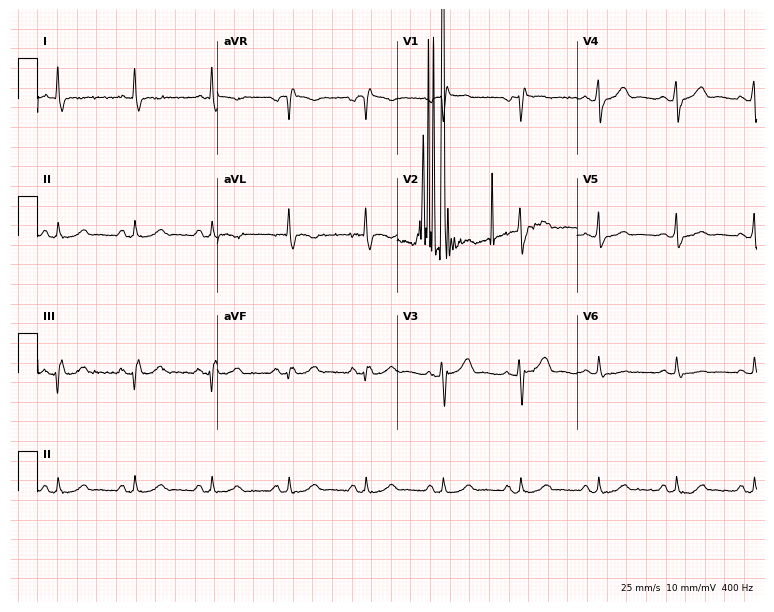
Standard 12-lead ECG recorded from a male patient, 66 years old. None of these six findings is recorded: first-degree AV block, right bundle branch block (RBBB), left bundle branch block (LBBB), sinus bradycardia, atrial fibrillation (AF), sinus tachycardia.